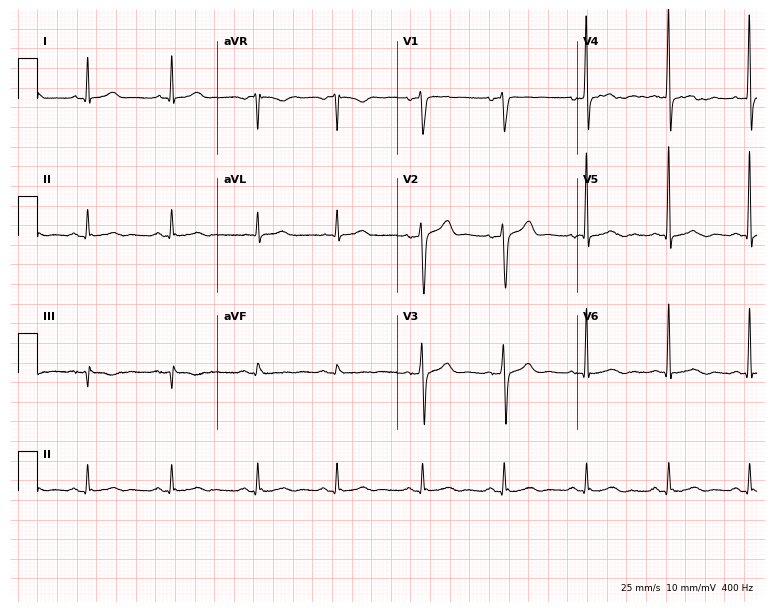
12-lead ECG (7.3-second recording at 400 Hz) from a male, 60 years old. Screened for six findings — first-degree AV block, right bundle branch block, left bundle branch block, sinus bradycardia, atrial fibrillation, sinus tachycardia — none is recorded.